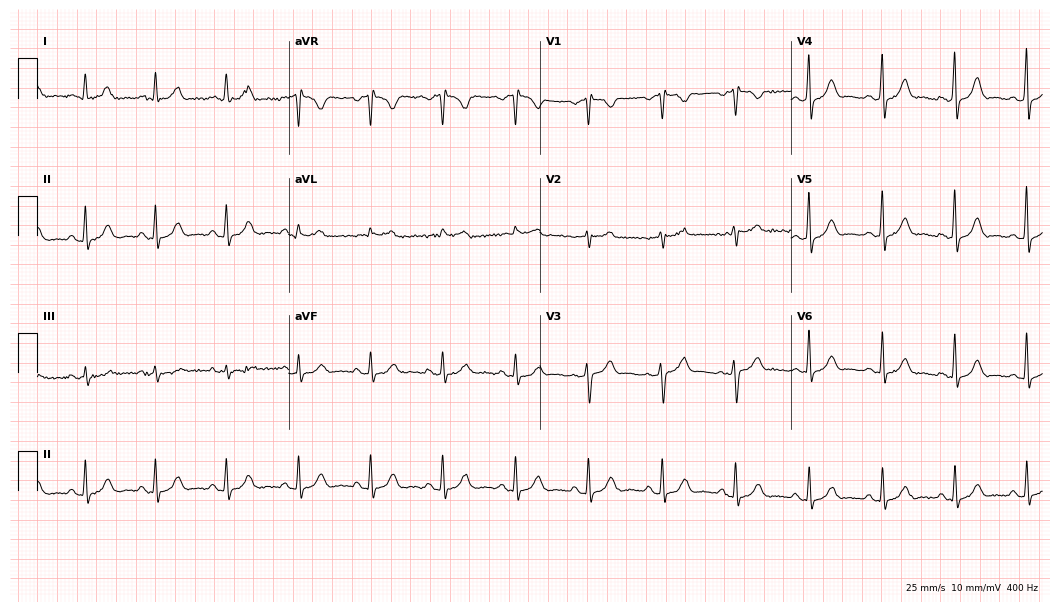
Standard 12-lead ECG recorded from a female, 59 years old. Read as a normal ECG.